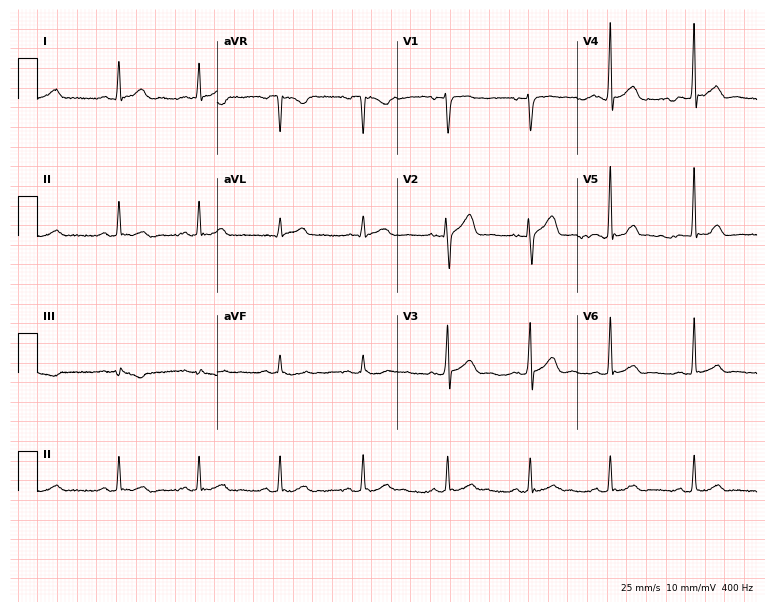
12-lead ECG from a 29-year-old male. Screened for six findings — first-degree AV block, right bundle branch block, left bundle branch block, sinus bradycardia, atrial fibrillation, sinus tachycardia — none is recorded. Only these six findings were labelled.